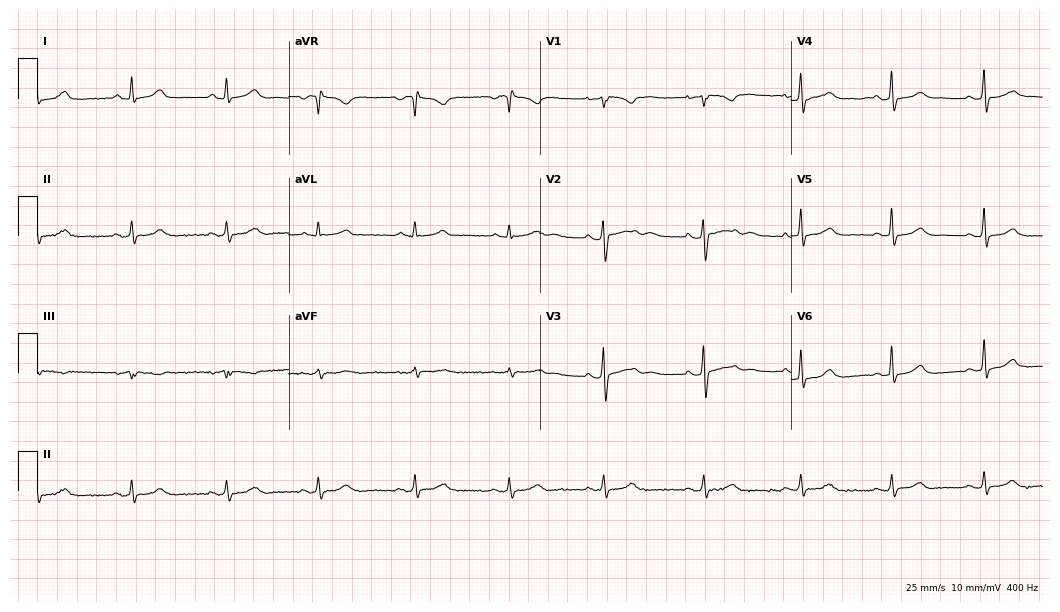
12-lead ECG (10.2-second recording at 400 Hz) from a woman, 22 years old. Screened for six findings — first-degree AV block, right bundle branch block, left bundle branch block, sinus bradycardia, atrial fibrillation, sinus tachycardia — none is recorded.